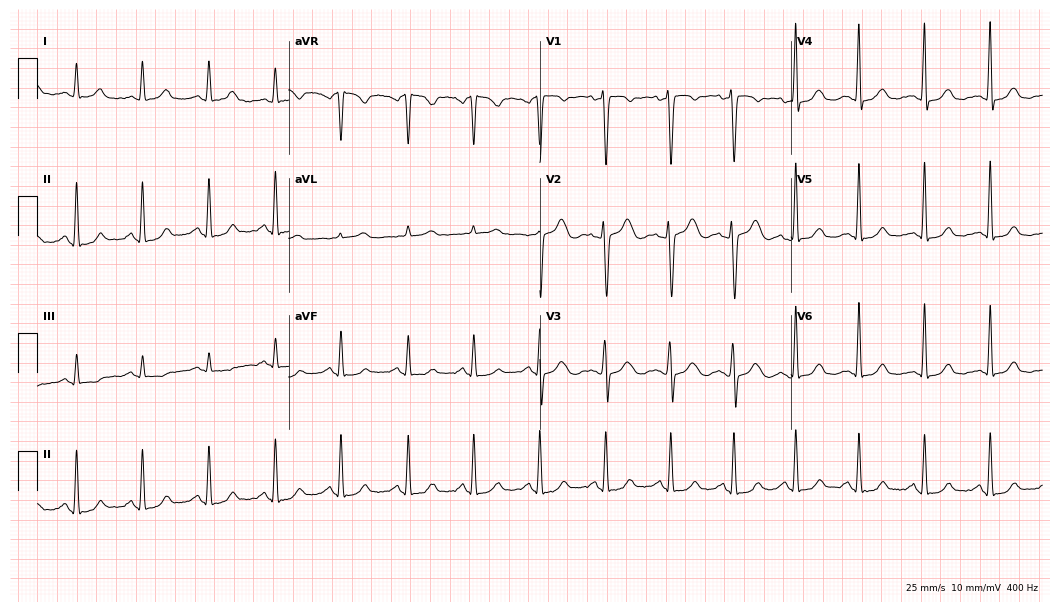
Resting 12-lead electrocardiogram (10.2-second recording at 400 Hz). Patient: a woman, 31 years old. Read as a normal ECG.